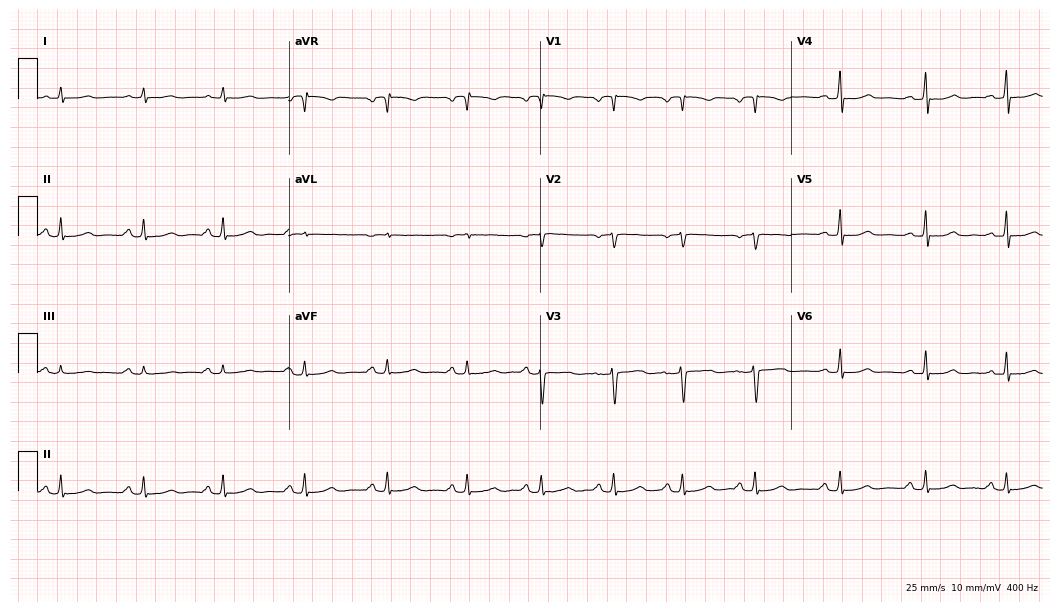
Resting 12-lead electrocardiogram. Patient: a female, 43 years old. None of these six findings is recorded: first-degree AV block, right bundle branch block, left bundle branch block, sinus bradycardia, atrial fibrillation, sinus tachycardia. Other findings, if any, are not listed.